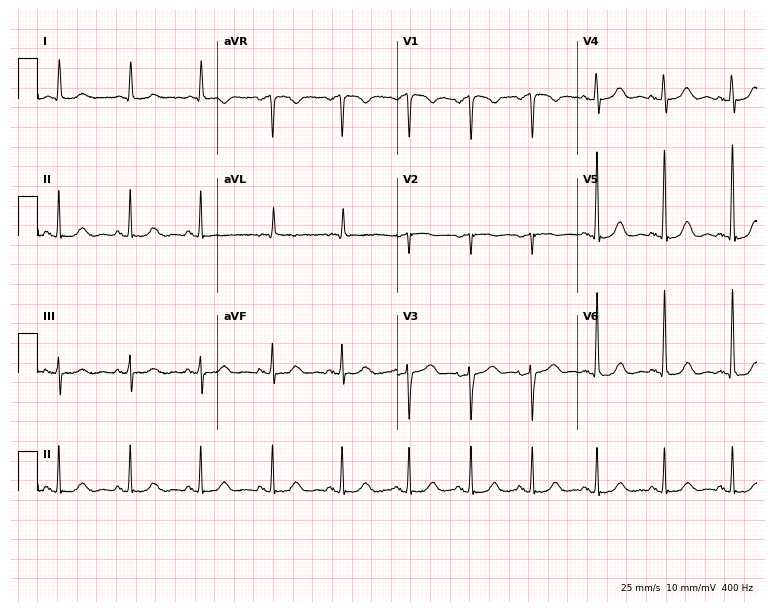
12-lead ECG (7.3-second recording at 400 Hz) from an 81-year-old female patient. Screened for six findings — first-degree AV block, right bundle branch block, left bundle branch block, sinus bradycardia, atrial fibrillation, sinus tachycardia — none is recorded. Findings outside these six are not listed.